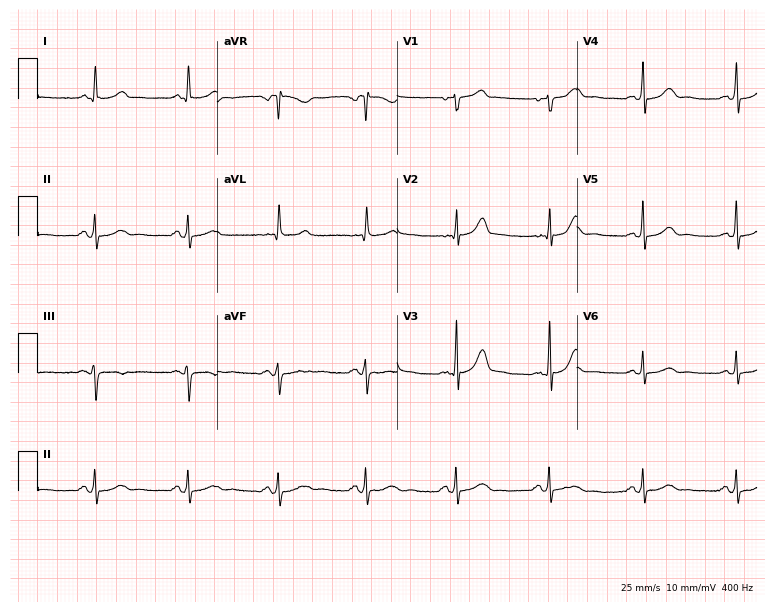
ECG — a 65-year-old female patient. Labelled as a normal ECG.